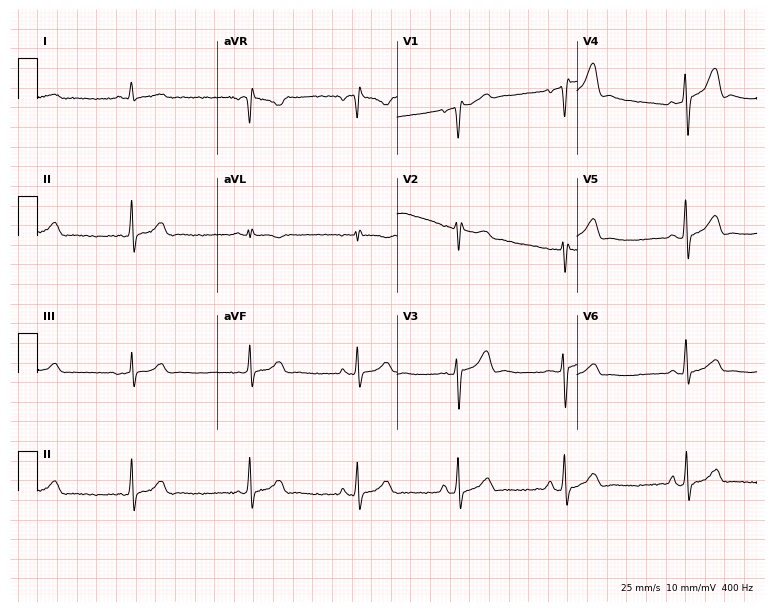
ECG — a male, 47 years old. Screened for six findings — first-degree AV block, right bundle branch block, left bundle branch block, sinus bradycardia, atrial fibrillation, sinus tachycardia — none is recorded. Other findings, if any, are not listed.